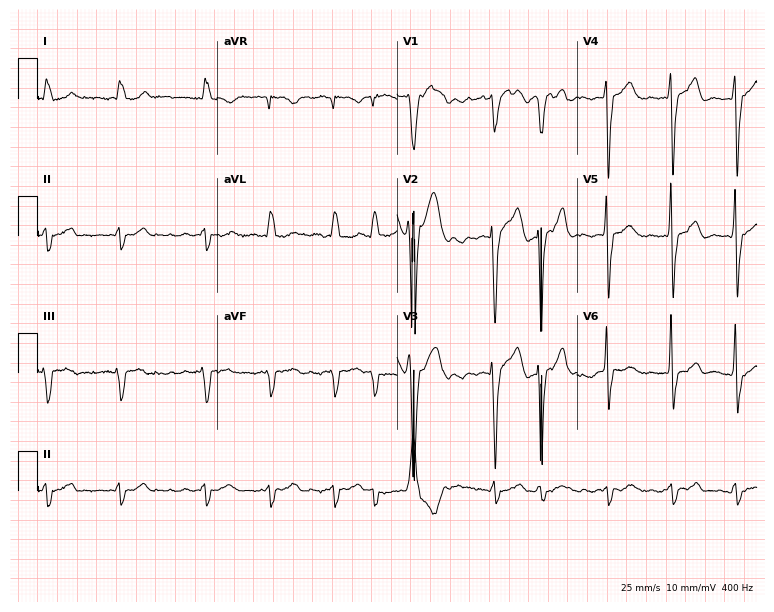
Standard 12-lead ECG recorded from a male, 78 years old. The tracing shows atrial fibrillation (AF).